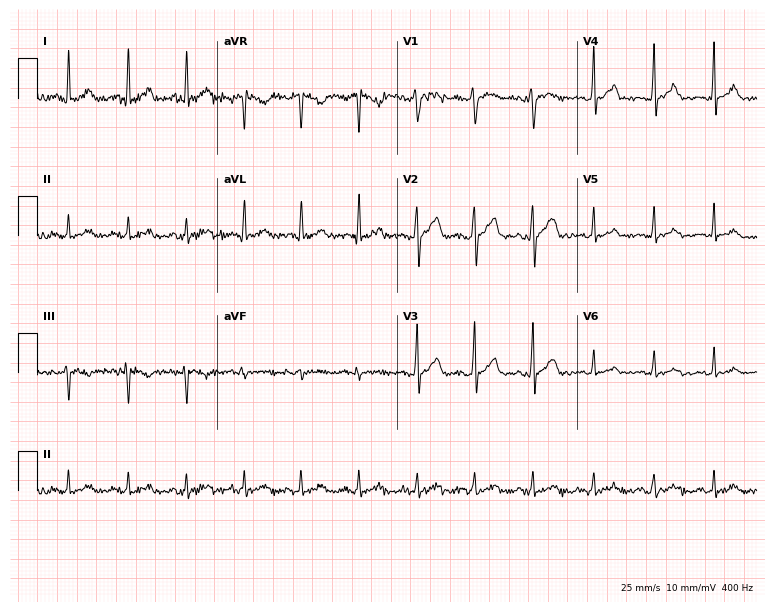
Resting 12-lead electrocardiogram (7.3-second recording at 400 Hz). Patient: a male, 27 years old. None of these six findings is recorded: first-degree AV block, right bundle branch block, left bundle branch block, sinus bradycardia, atrial fibrillation, sinus tachycardia. Findings outside these six are not listed.